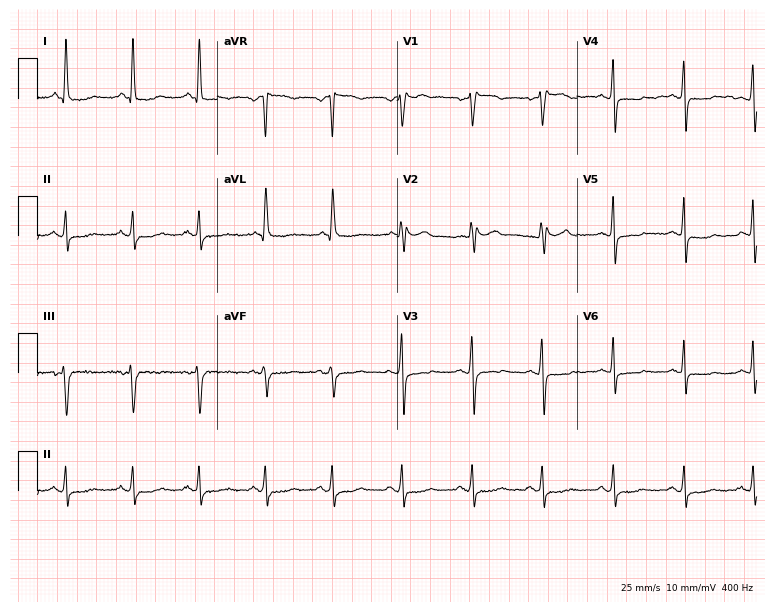
12-lead ECG from a woman, 69 years old. Screened for six findings — first-degree AV block, right bundle branch block, left bundle branch block, sinus bradycardia, atrial fibrillation, sinus tachycardia — none is recorded.